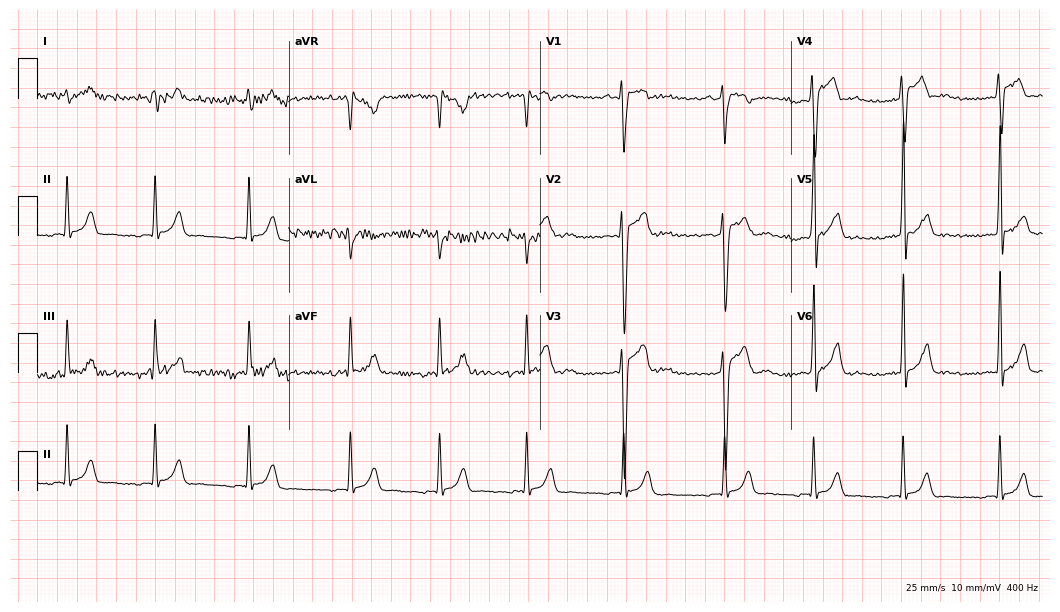
ECG (10.2-second recording at 400 Hz) — a 19-year-old man. Labelled as a normal ECG.